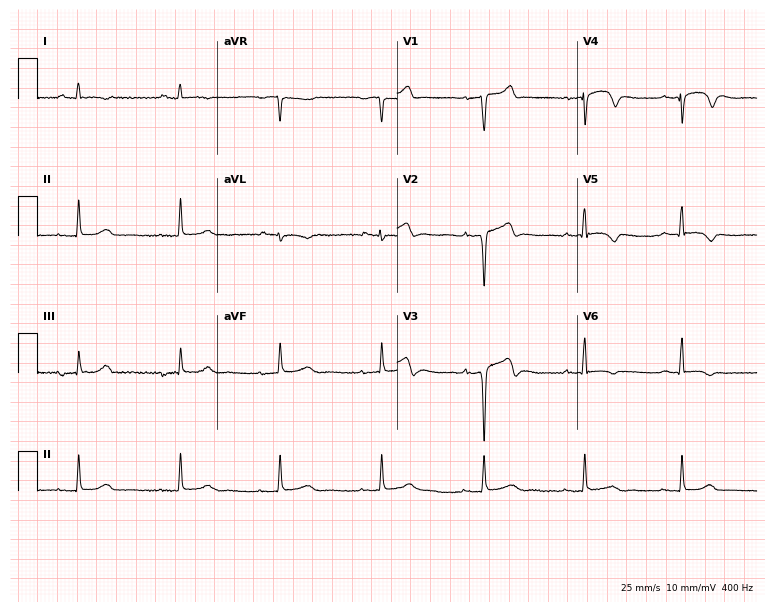
12-lead ECG from a 64-year-old male. No first-degree AV block, right bundle branch block, left bundle branch block, sinus bradycardia, atrial fibrillation or sinus tachycardia recorded for this tracing. Findings outside these six are not listed.